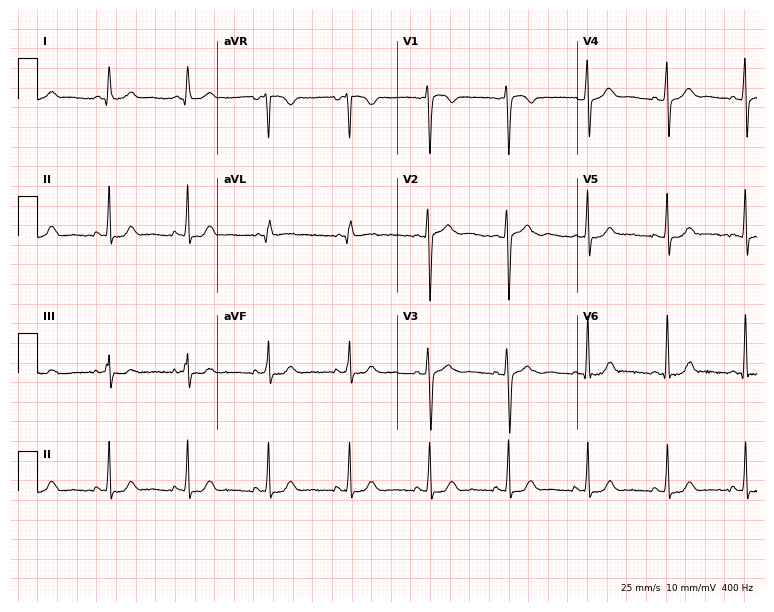
Electrocardiogram, a 29-year-old woman. Of the six screened findings (first-degree AV block, right bundle branch block (RBBB), left bundle branch block (LBBB), sinus bradycardia, atrial fibrillation (AF), sinus tachycardia), none is recorded.